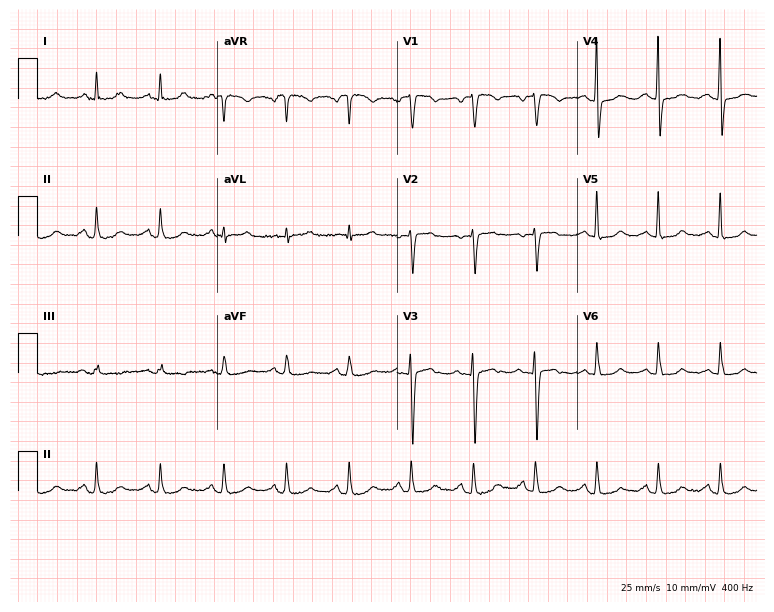
Resting 12-lead electrocardiogram. Patient: a female, 54 years old. Read as a normal ECG.